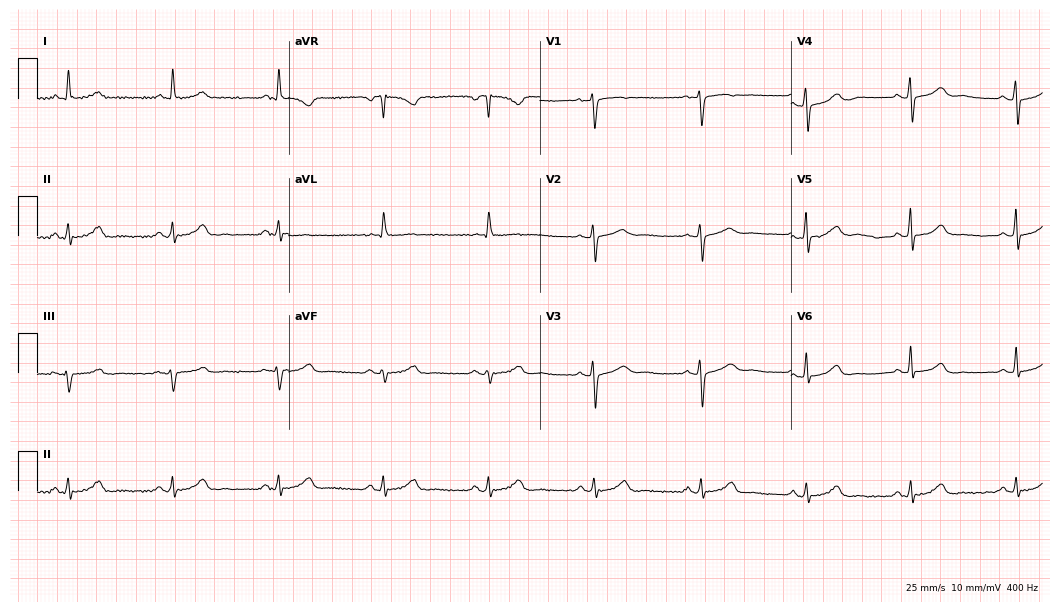
12-lead ECG from a 79-year-old female patient. Labelled as a normal ECG.